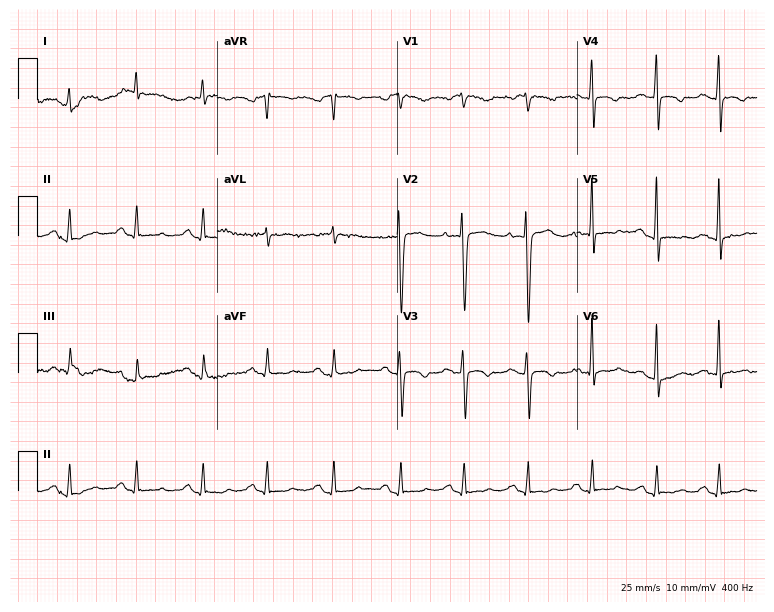
12-lead ECG from a female, 34 years old. Screened for six findings — first-degree AV block, right bundle branch block, left bundle branch block, sinus bradycardia, atrial fibrillation, sinus tachycardia — none is recorded. Other findings, if any, are not listed.